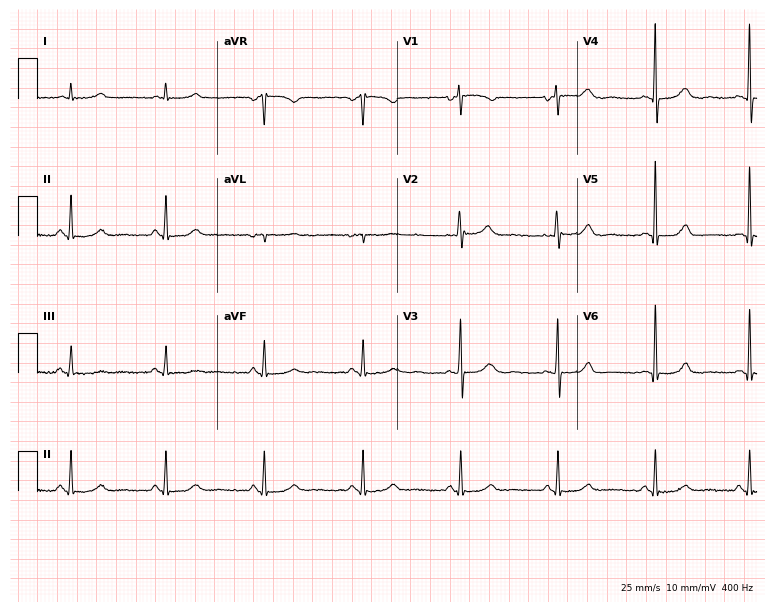
12-lead ECG from a female patient, 70 years old (7.3-second recording at 400 Hz). Recorded interpretation: within normal limits.